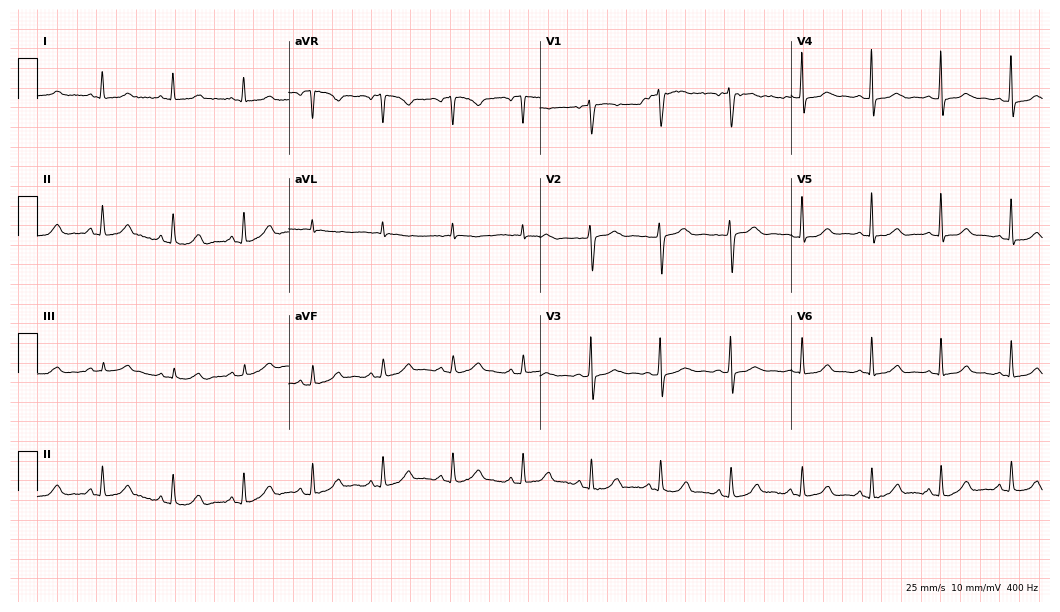
Resting 12-lead electrocardiogram (10.2-second recording at 400 Hz). Patient: a female, 53 years old. Read as a normal ECG.